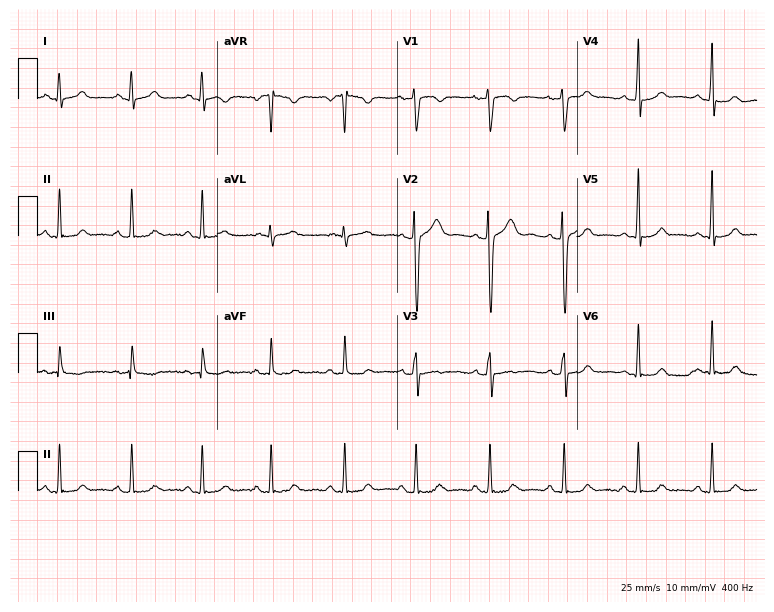
Electrocardiogram (7.3-second recording at 400 Hz), a woman, 19 years old. Of the six screened findings (first-degree AV block, right bundle branch block, left bundle branch block, sinus bradycardia, atrial fibrillation, sinus tachycardia), none is recorded. Other findings, if any, are not listed.